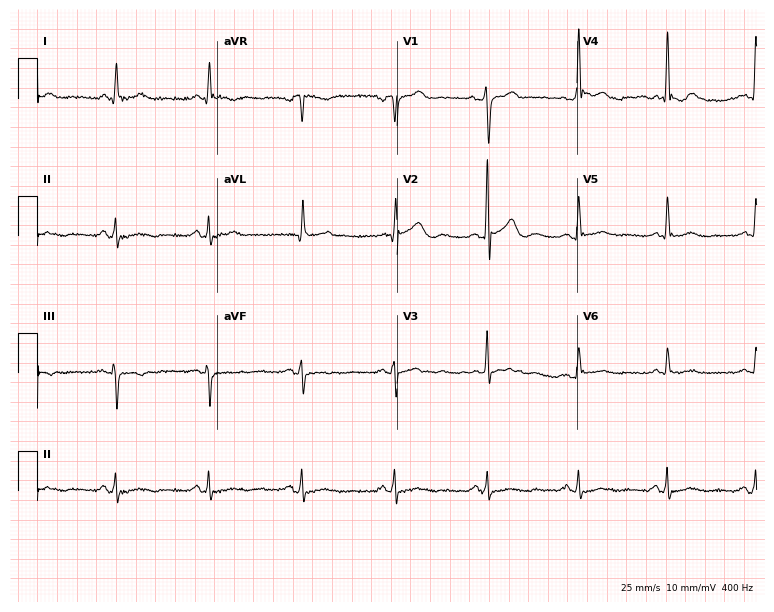
12-lead ECG from a man, 70 years old. No first-degree AV block, right bundle branch block (RBBB), left bundle branch block (LBBB), sinus bradycardia, atrial fibrillation (AF) or sinus tachycardia recorded for this tracing. Only these six findings were labelled.